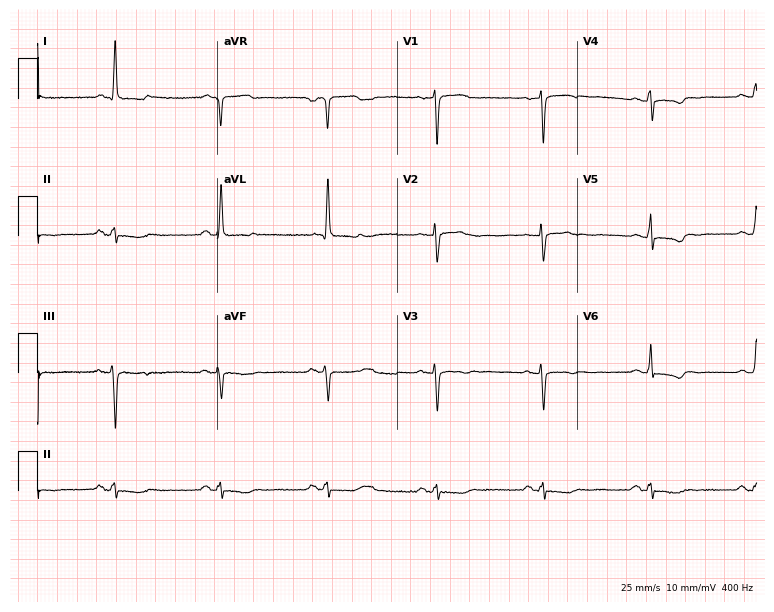
Electrocardiogram (7.3-second recording at 400 Hz), a 73-year-old woman. Of the six screened findings (first-degree AV block, right bundle branch block, left bundle branch block, sinus bradycardia, atrial fibrillation, sinus tachycardia), none is recorded. Findings outside these six are not listed.